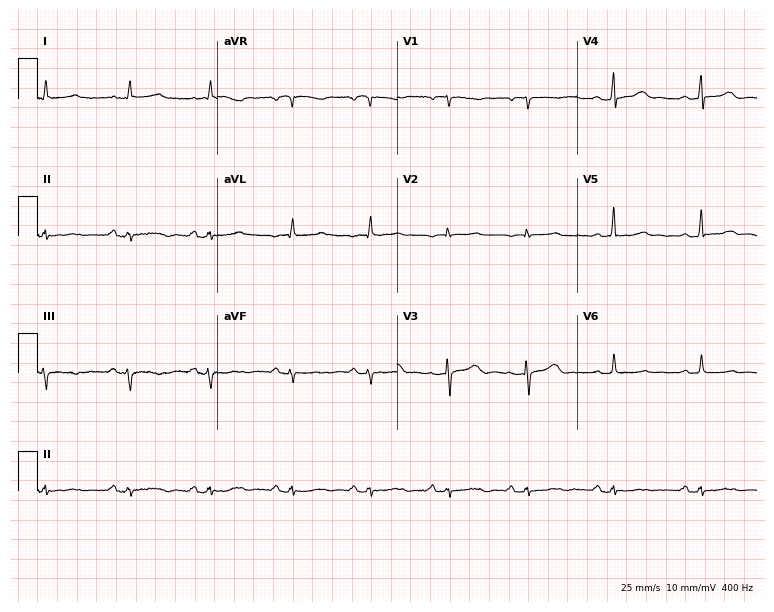
12-lead ECG from an 82-year-old woman (7.3-second recording at 400 Hz). Recorded interpretation: within normal limits.